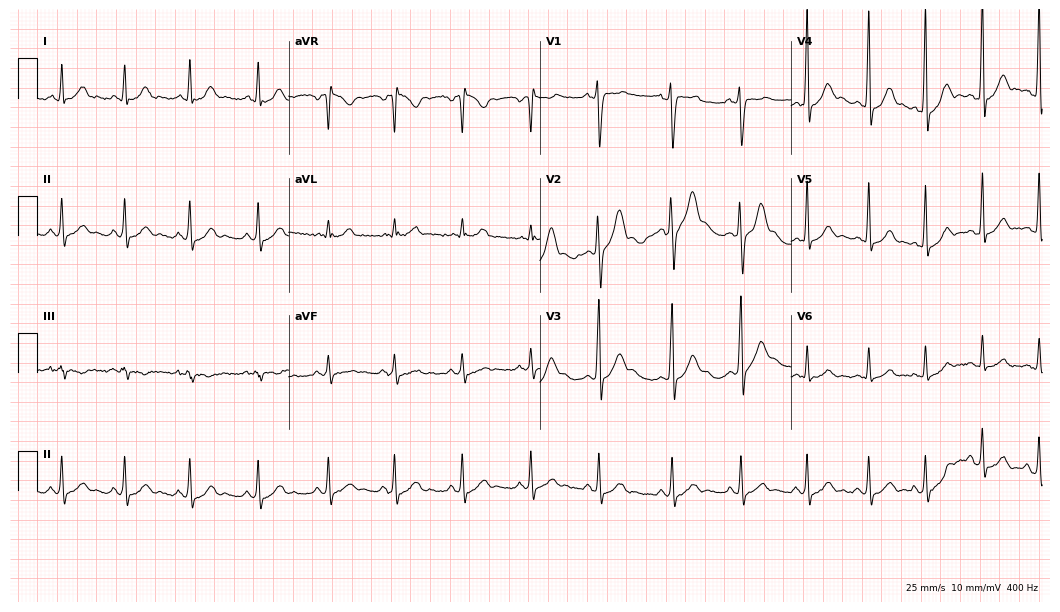
Electrocardiogram (10.2-second recording at 400 Hz), a 25-year-old man. Of the six screened findings (first-degree AV block, right bundle branch block, left bundle branch block, sinus bradycardia, atrial fibrillation, sinus tachycardia), none is recorded. Other findings, if any, are not listed.